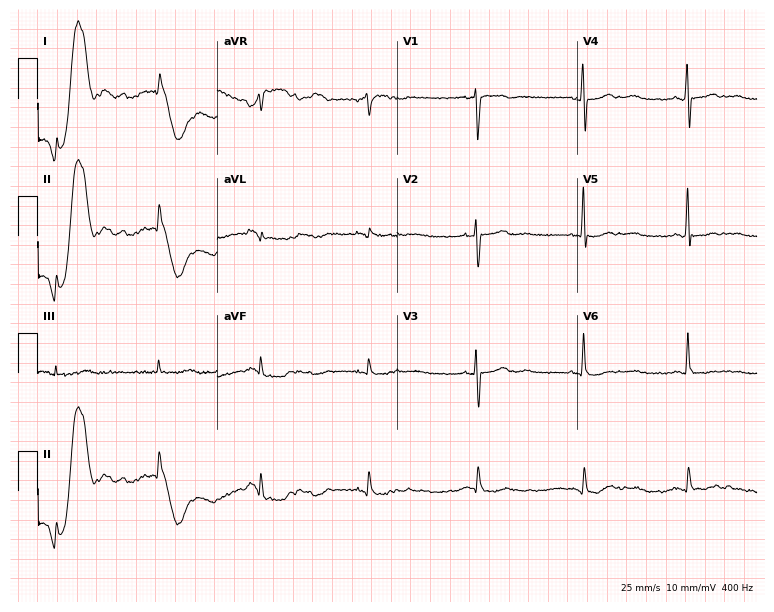
Resting 12-lead electrocardiogram (7.3-second recording at 400 Hz). Patient: a 56-year-old female. None of these six findings is recorded: first-degree AV block, right bundle branch block, left bundle branch block, sinus bradycardia, atrial fibrillation, sinus tachycardia. Only these six findings were labelled.